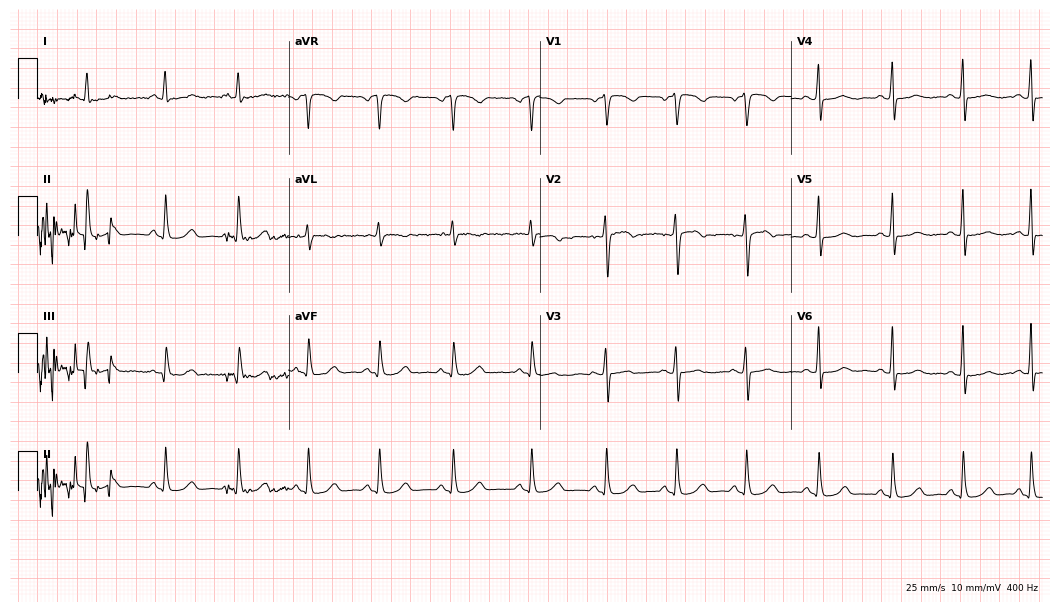
12-lead ECG (10.2-second recording at 400 Hz) from a female, 48 years old. Screened for six findings — first-degree AV block, right bundle branch block, left bundle branch block, sinus bradycardia, atrial fibrillation, sinus tachycardia — none is recorded.